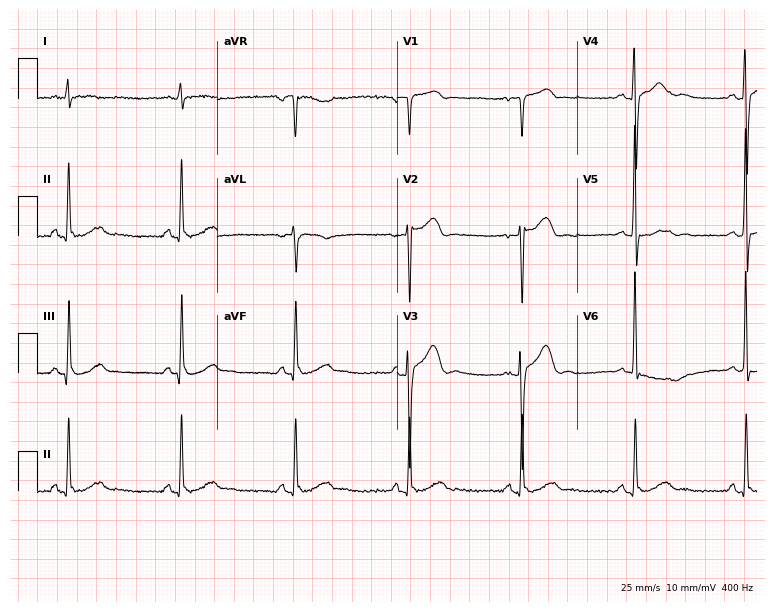
Standard 12-lead ECG recorded from a 76-year-old man. Read as a normal ECG.